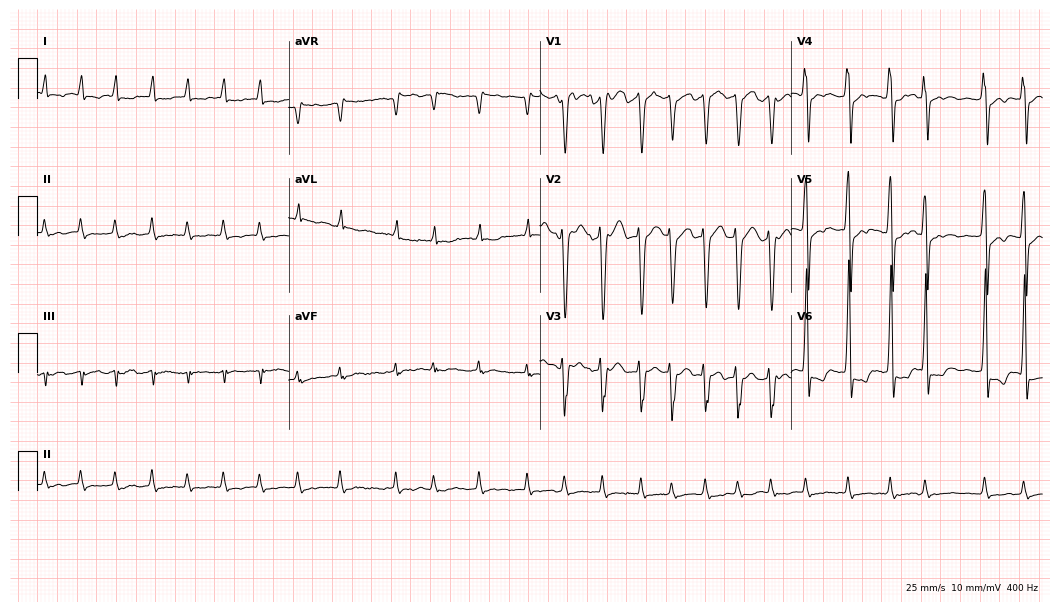
Standard 12-lead ECG recorded from a male patient, 53 years old. The tracing shows atrial fibrillation.